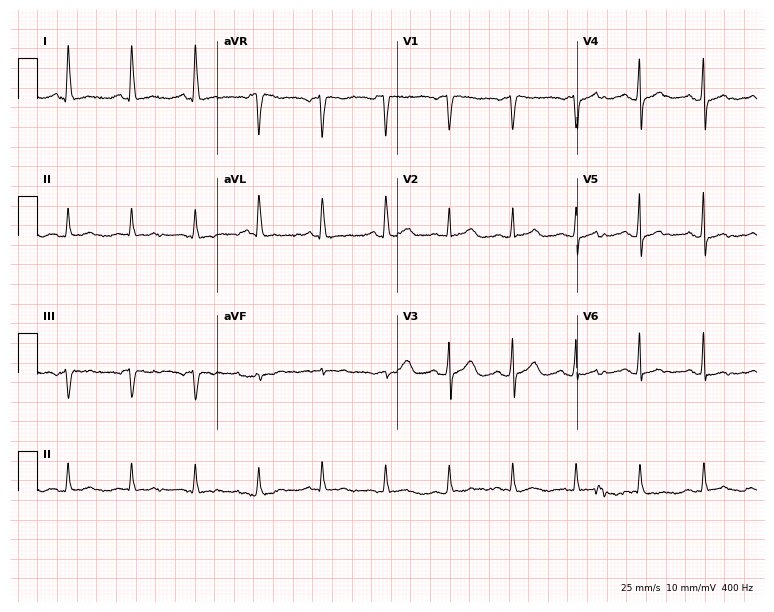
Standard 12-lead ECG recorded from an 82-year-old male patient (7.3-second recording at 400 Hz). None of these six findings is recorded: first-degree AV block, right bundle branch block, left bundle branch block, sinus bradycardia, atrial fibrillation, sinus tachycardia.